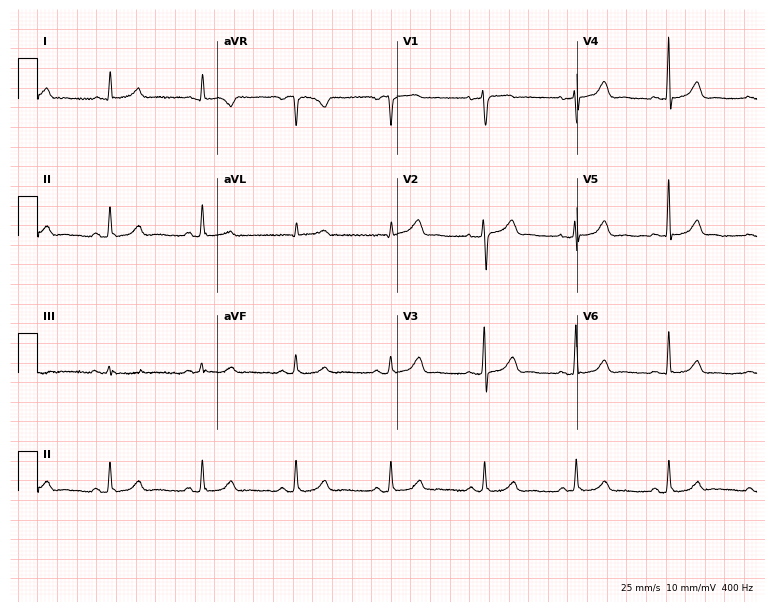
Electrocardiogram, a 76-year-old woman. Overall reading on record: normal ECG.